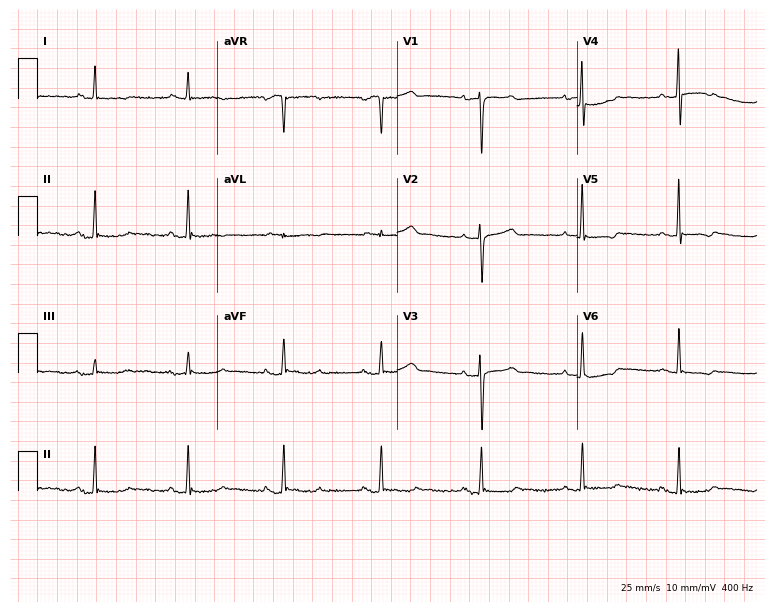
Resting 12-lead electrocardiogram. Patient: a 48-year-old female. Read as a normal ECG.